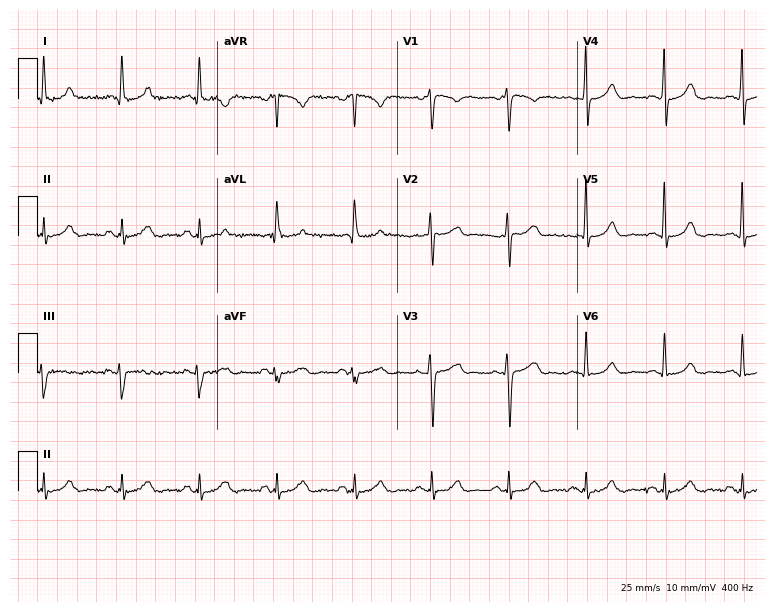
12-lead ECG from a female patient, 49 years old. Labelled as a normal ECG.